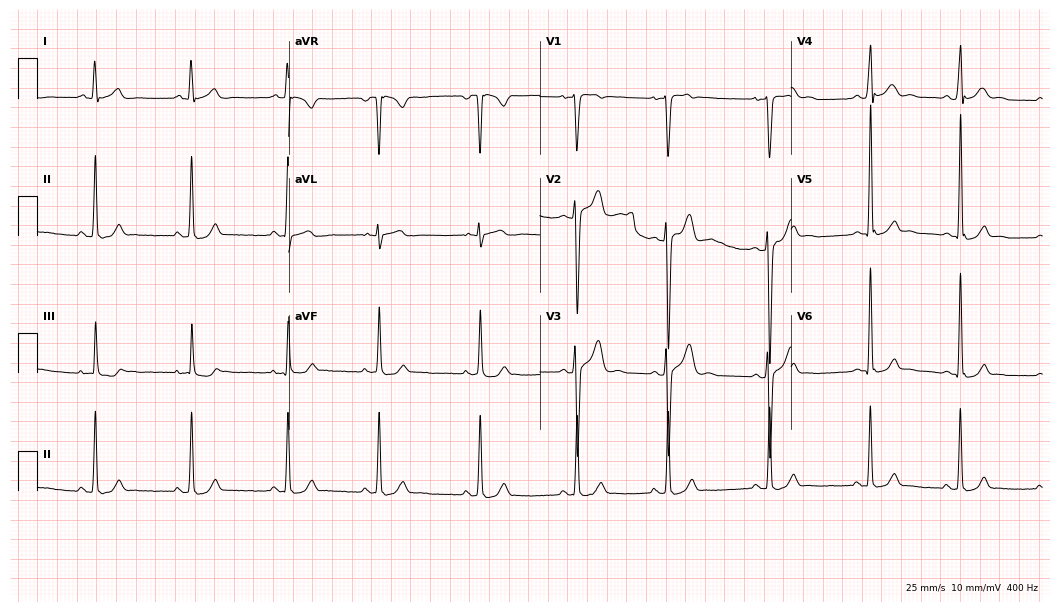
12-lead ECG from a 17-year-old man (10.2-second recording at 400 Hz). No first-degree AV block, right bundle branch block, left bundle branch block, sinus bradycardia, atrial fibrillation or sinus tachycardia recorded for this tracing. Other findings, if any, are not listed.